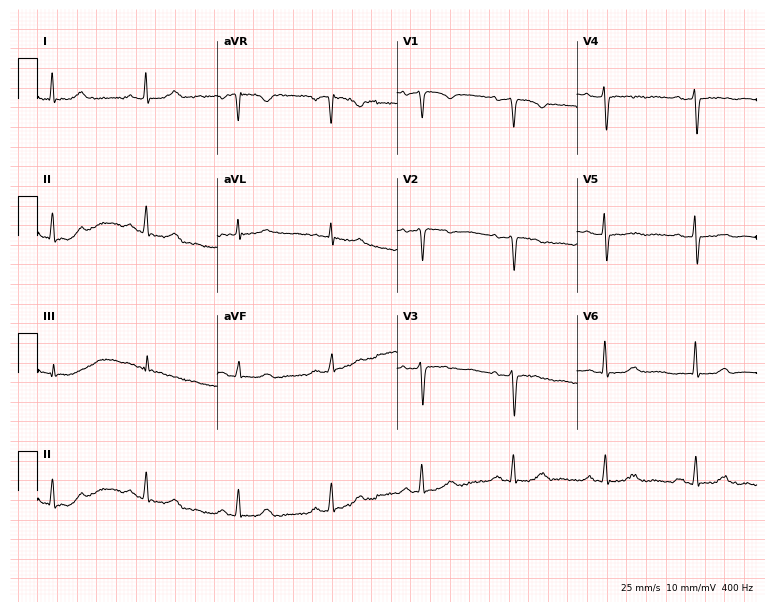
Resting 12-lead electrocardiogram. Patient: a woman, 63 years old. None of these six findings is recorded: first-degree AV block, right bundle branch block, left bundle branch block, sinus bradycardia, atrial fibrillation, sinus tachycardia.